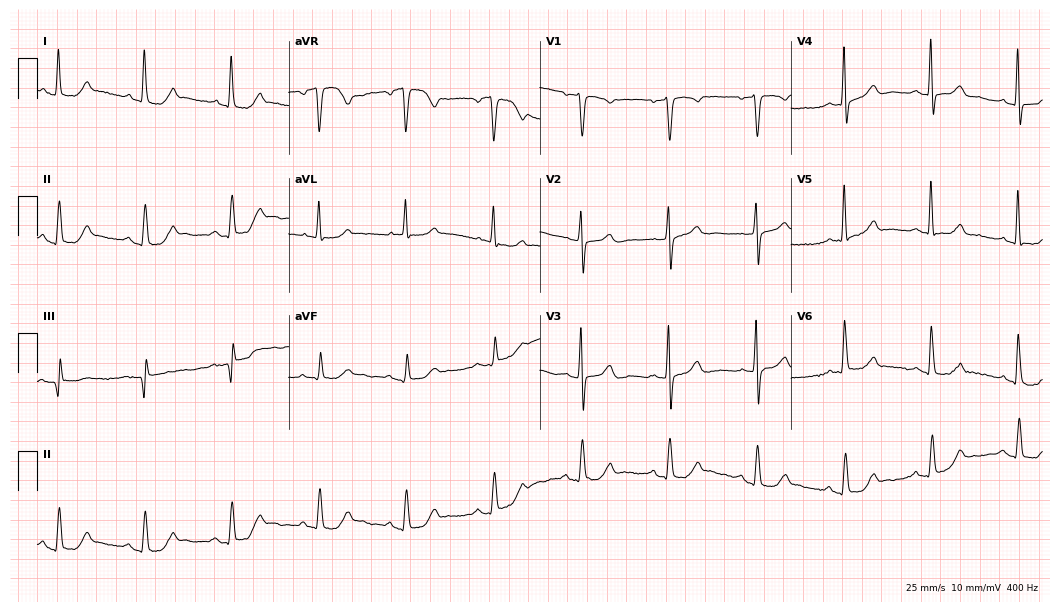
12-lead ECG from a 65-year-old female patient. Screened for six findings — first-degree AV block, right bundle branch block, left bundle branch block, sinus bradycardia, atrial fibrillation, sinus tachycardia — none is recorded. Findings outside these six are not listed.